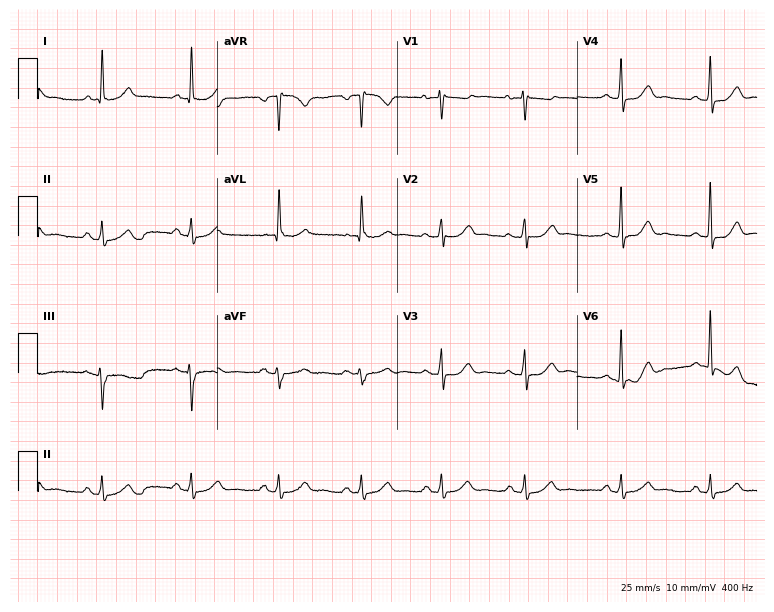
ECG — a woman, 70 years old. Labelled as a normal ECG.